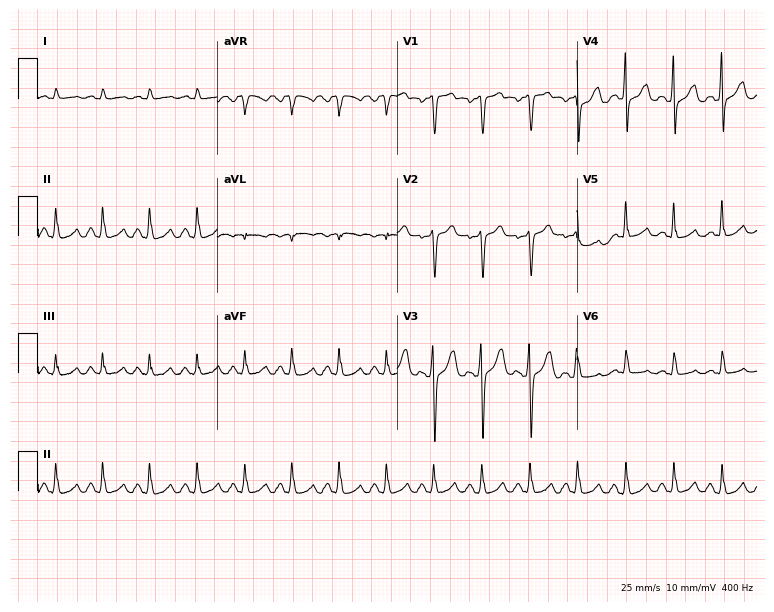
12-lead ECG from a female patient, 51 years old. Shows sinus tachycardia (a sinus rate of 100 beats per minute or more).